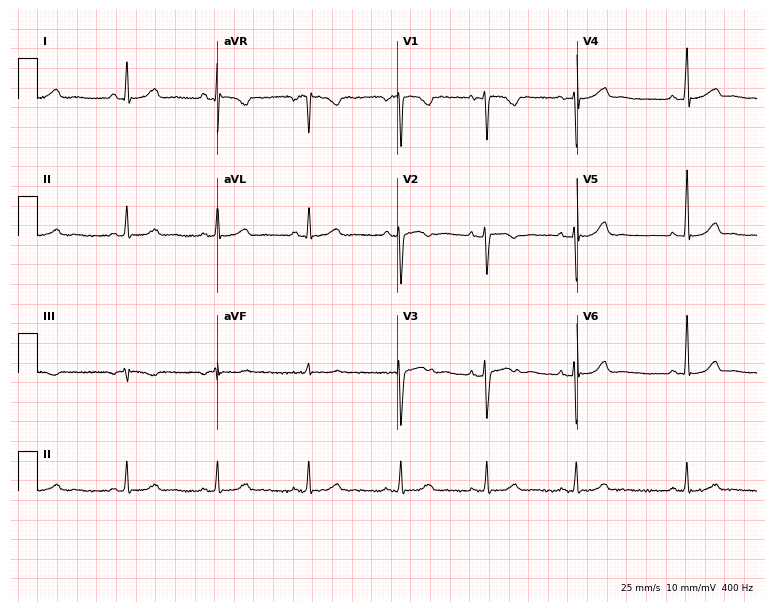
12-lead ECG from a female, 26 years old. Labelled as a normal ECG.